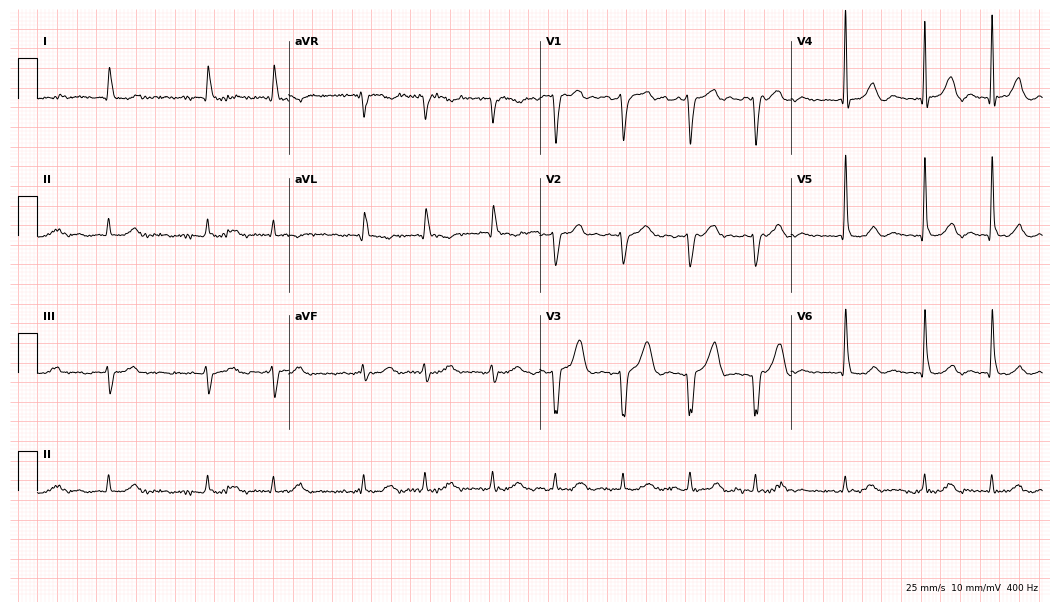
Standard 12-lead ECG recorded from an 83-year-old male patient (10.2-second recording at 400 Hz). The tracing shows atrial fibrillation.